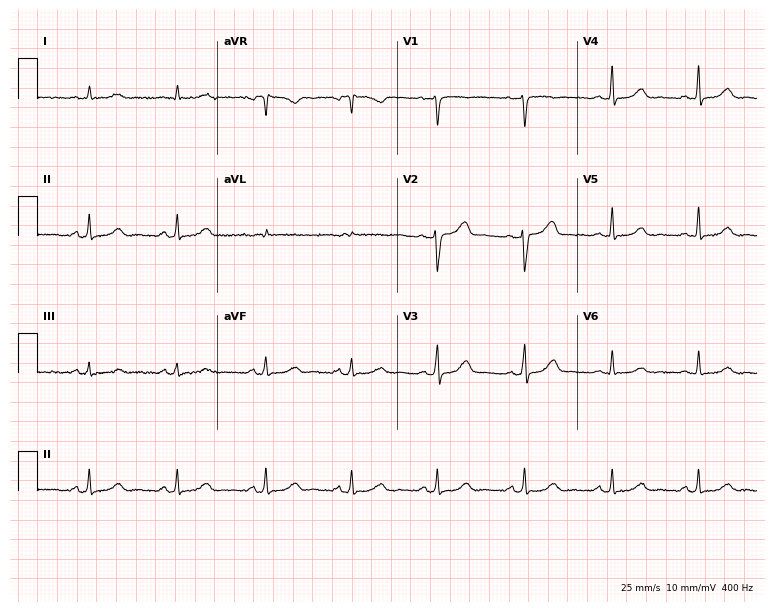
Electrocardiogram, a 42-year-old female. Of the six screened findings (first-degree AV block, right bundle branch block (RBBB), left bundle branch block (LBBB), sinus bradycardia, atrial fibrillation (AF), sinus tachycardia), none is recorded. Findings outside these six are not listed.